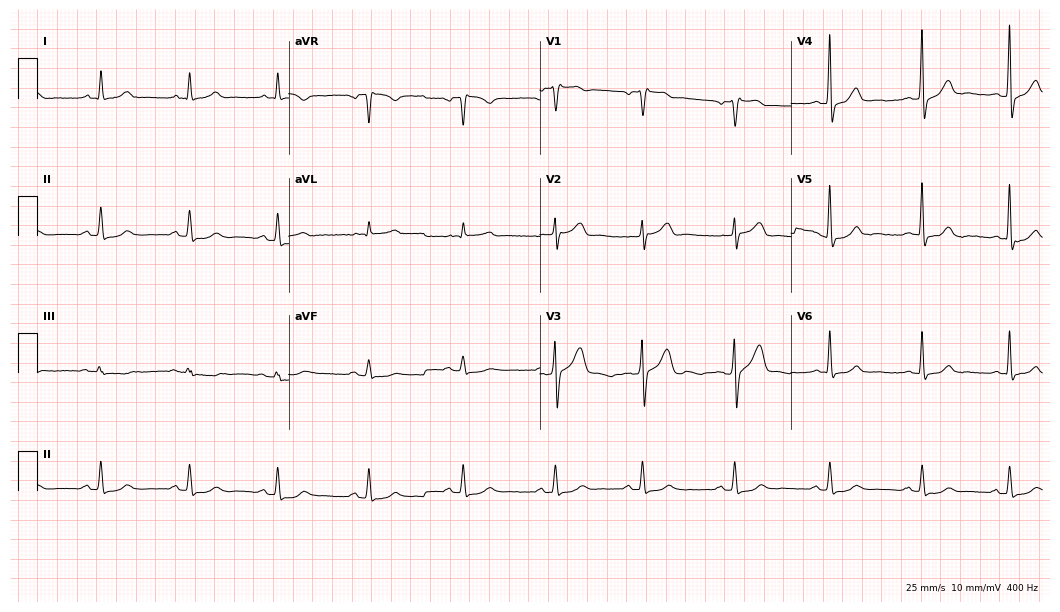
12-lead ECG from a 31-year-old man. No first-degree AV block, right bundle branch block (RBBB), left bundle branch block (LBBB), sinus bradycardia, atrial fibrillation (AF) or sinus tachycardia recorded for this tracing. Only these six findings were labelled.